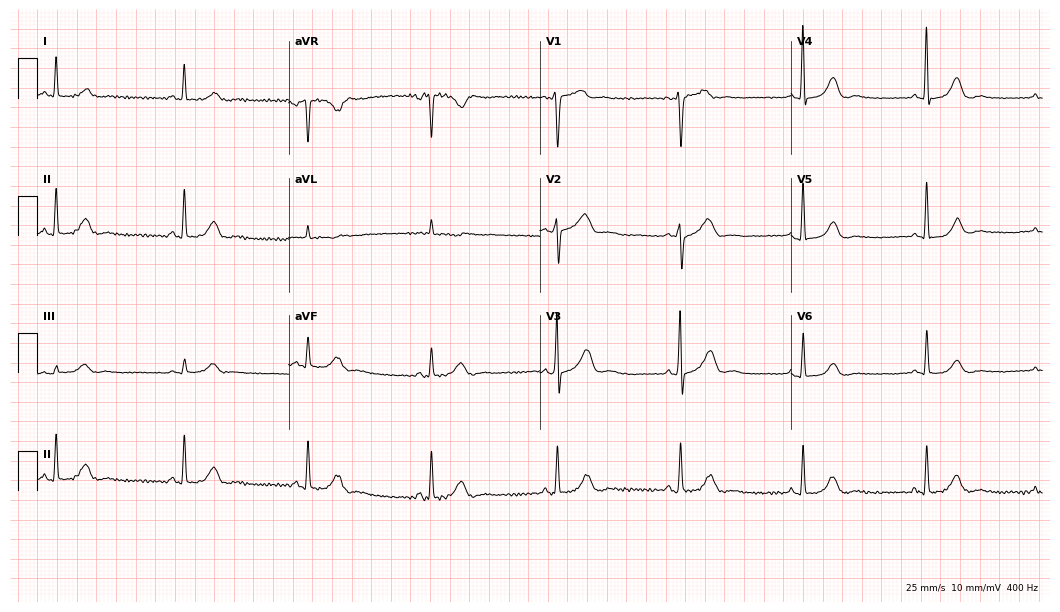
Electrocardiogram (10.2-second recording at 400 Hz), a 58-year-old woman. Overall reading on record: normal ECG.